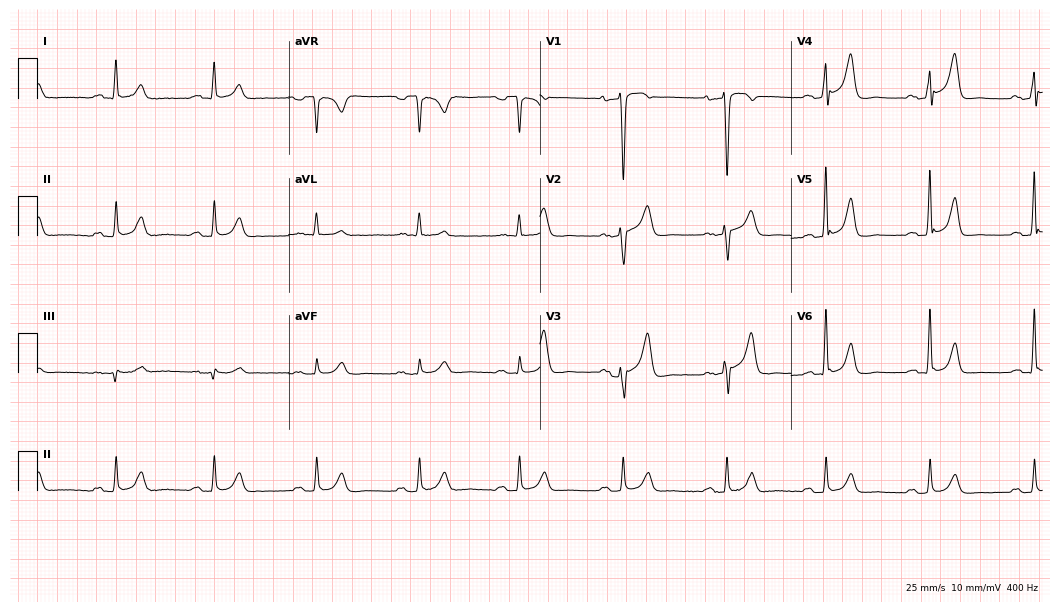
12-lead ECG from a 65-year-old man (10.2-second recording at 400 Hz). Recorded interpretation: within normal limits.